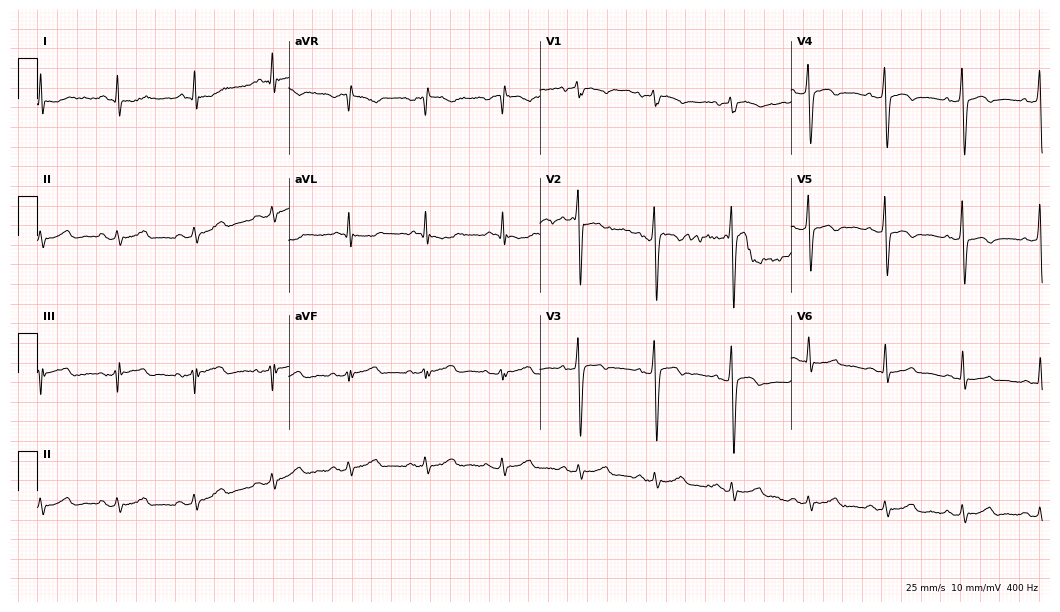
ECG — a male, 72 years old. Screened for six findings — first-degree AV block, right bundle branch block, left bundle branch block, sinus bradycardia, atrial fibrillation, sinus tachycardia — none is recorded.